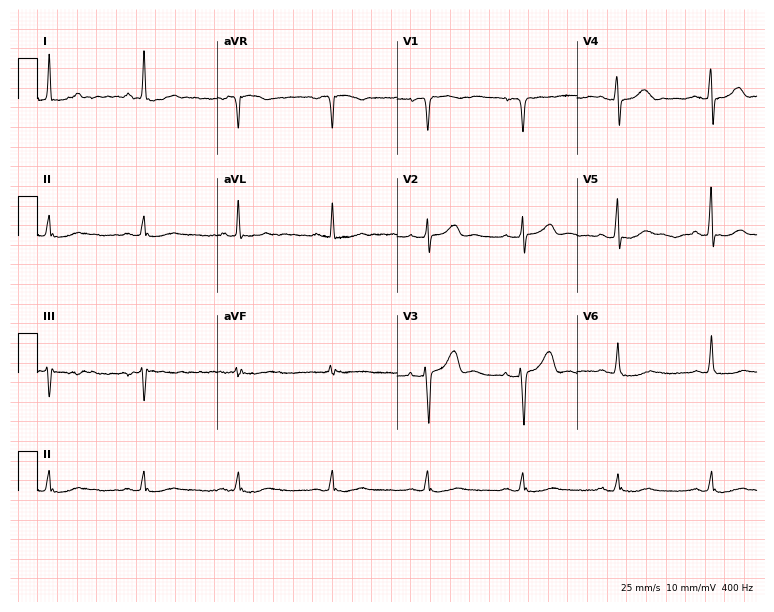
Standard 12-lead ECG recorded from a female, 65 years old (7.3-second recording at 400 Hz). None of these six findings is recorded: first-degree AV block, right bundle branch block (RBBB), left bundle branch block (LBBB), sinus bradycardia, atrial fibrillation (AF), sinus tachycardia.